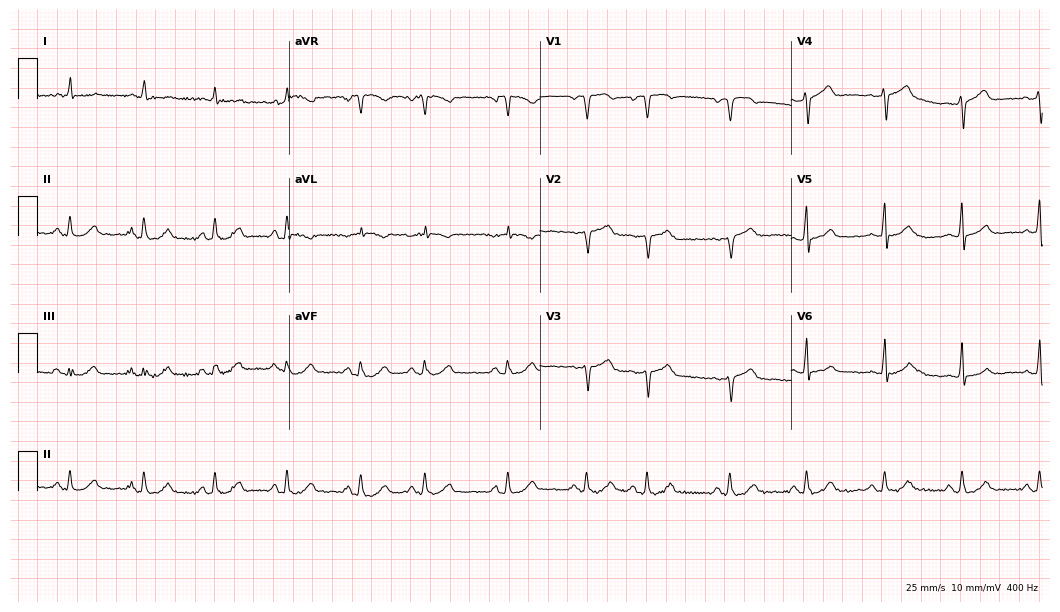
ECG — a 79-year-old male. Screened for six findings — first-degree AV block, right bundle branch block (RBBB), left bundle branch block (LBBB), sinus bradycardia, atrial fibrillation (AF), sinus tachycardia — none is recorded.